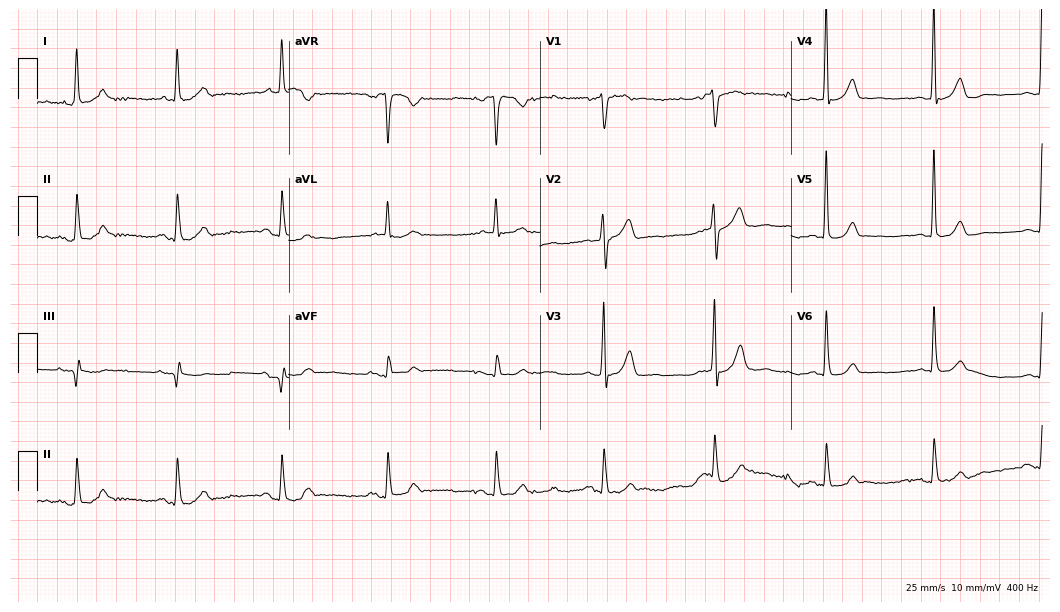
12-lead ECG from a woman, 78 years old. Screened for six findings — first-degree AV block, right bundle branch block, left bundle branch block, sinus bradycardia, atrial fibrillation, sinus tachycardia — none is recorded. Findings outside these six are not listed.